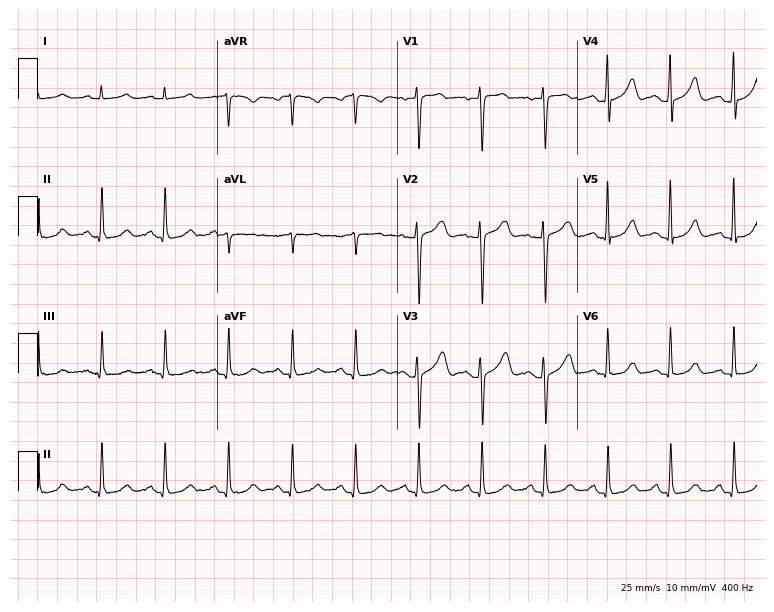
12-lead ECG from a 56-year-old female. Screened for six findings — first-degree AV block, right bundle branch block, left bundle branch block, sinus bradycardia, atrial fibrillation, sinus tachycardia — none is recorded. Findings outside these six are not listed.